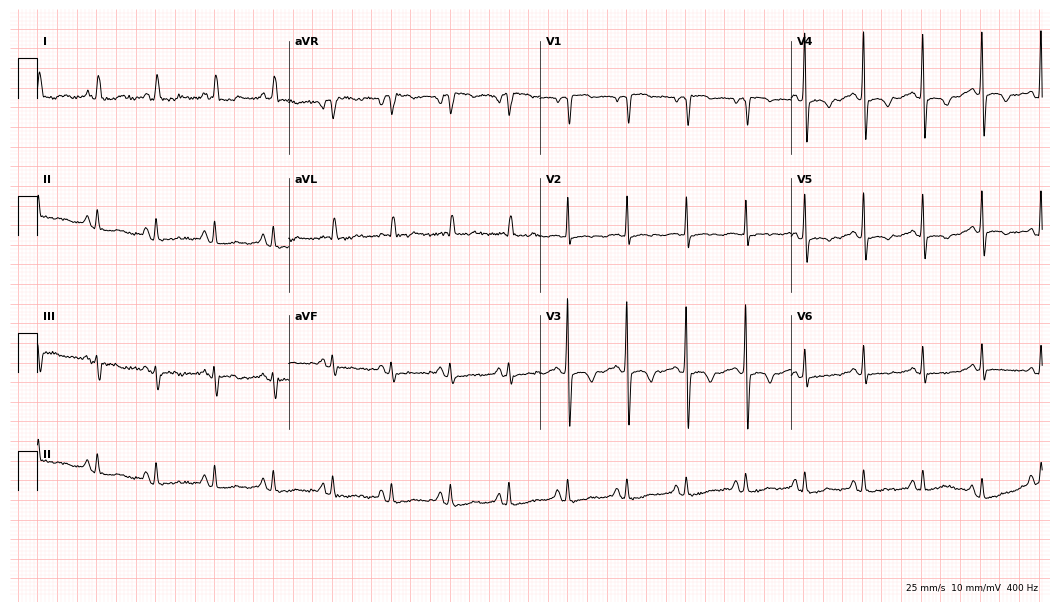
Resting 12-lead electrocardiogram. Patient: a 64-year-old woman. None of these six findings is recorded: first-degree AV block, right bundle branch block, left bundle branch block, sinus bradycardia, atrial fibrillation, sinus tachycardia.